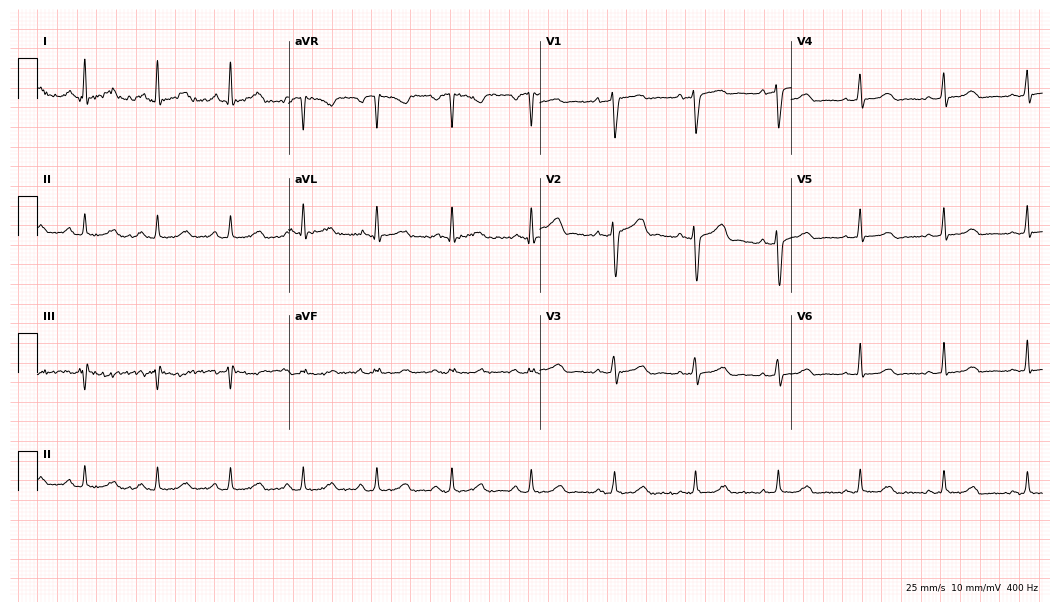
Standard 12-lead ECG recorded from a female, 29 years old. Read as a normal ECG.